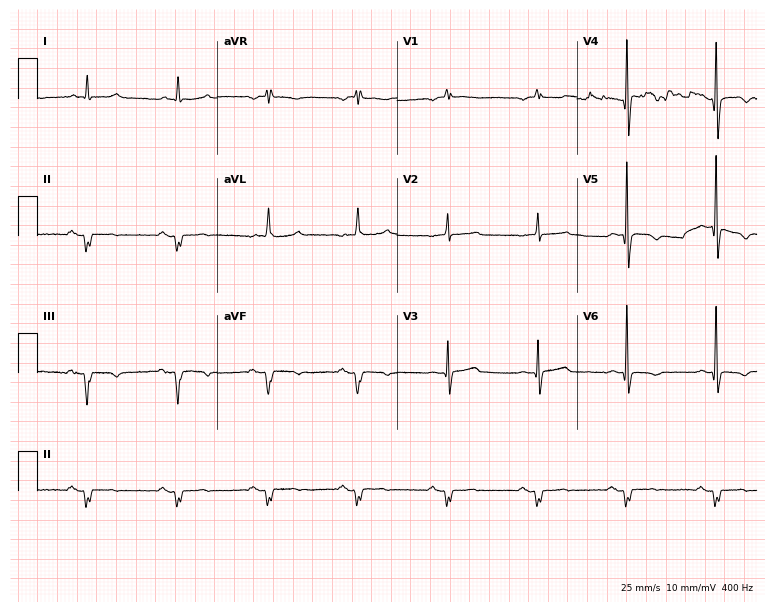
Electrocardiogram (7.3-second recording at 400 Hz), a male patient, 75 years old. Of the six screened findings (first-degree AV block, right bundle branch block (RBBB), left bundle branch block (LBBB), sinus bradycardia, atrial fibrillation (AF), sinus tachycardia), none is recorded.